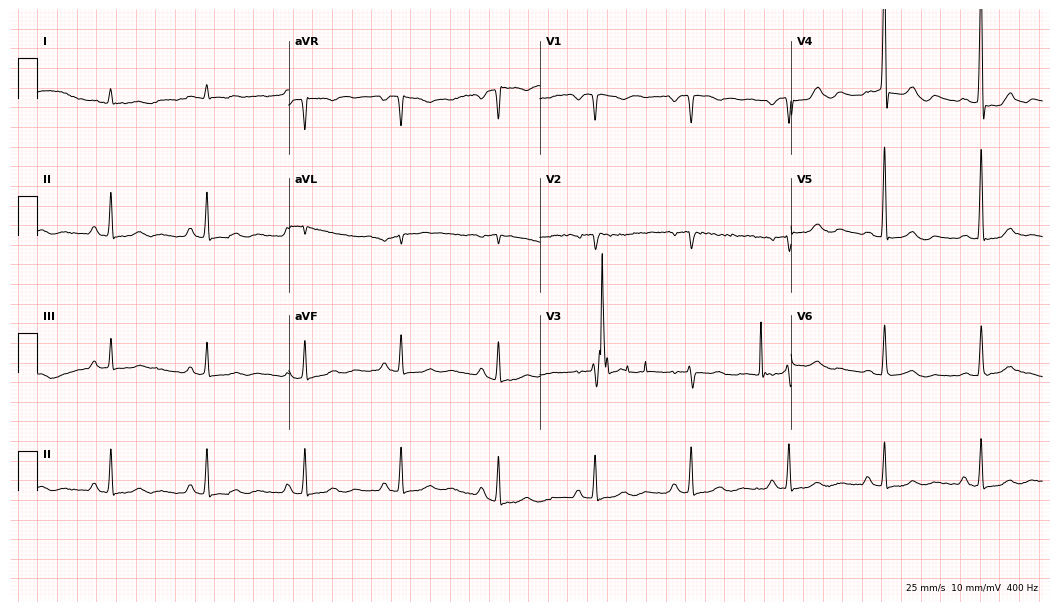
Standard 12-lead ECG recorded from an 84-year-old female. None of these six findings is recorded: first-degree AV block, right bundle branch block, left bundle branch block, sinus bradycardia, atrial fibrillation, sinus tachycardia.